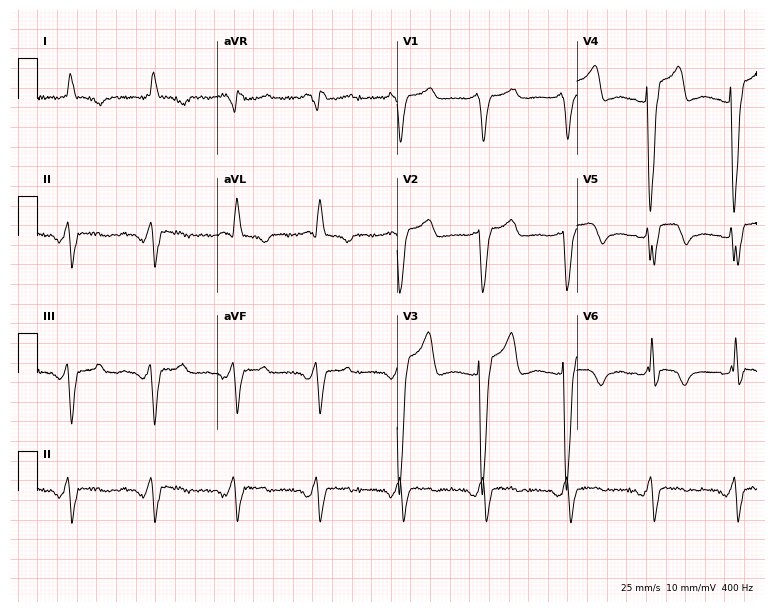
Resting 12-lead electrocardiogram (7.3-second recording at 400 Hz). Patient: a male, 81 years old. None of these six findings is recorded: first-degree AV block, right bundle branch block, left bundle branch block, sinus bradycardia, atrial fibrillation, sinus tachycardia.